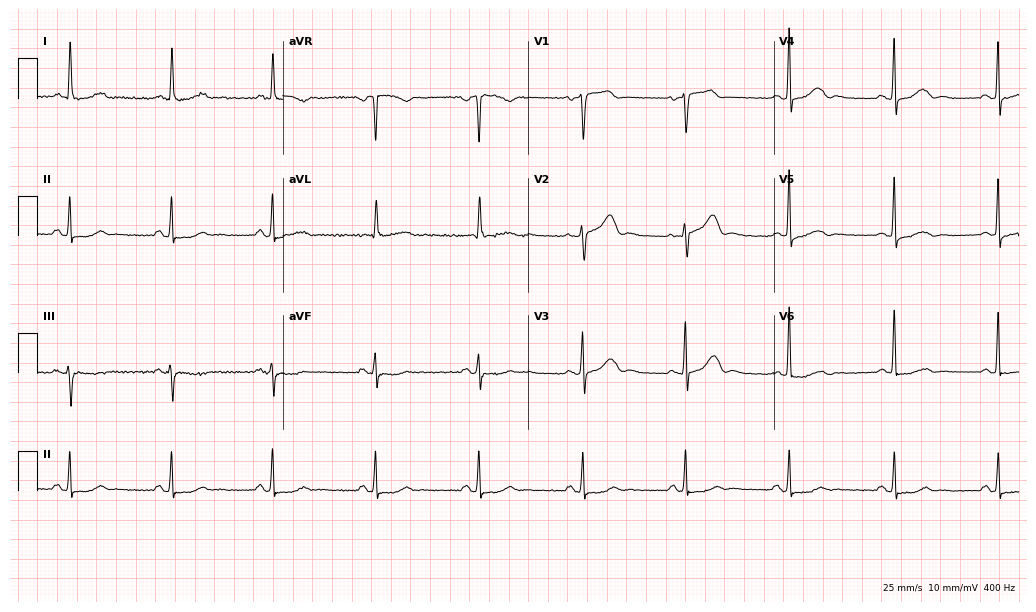
12-lead ECG from a 75-year-old female patient (10-second recording at 400 Hz). No first-degree AV block, right bundle branch block (RBBB), left bundle branch block (LBBB), sinus bradycardia, atrial fibrillation (AF) or sinus tachycardia recorded for this tracing. Findings outside these six are not listed.